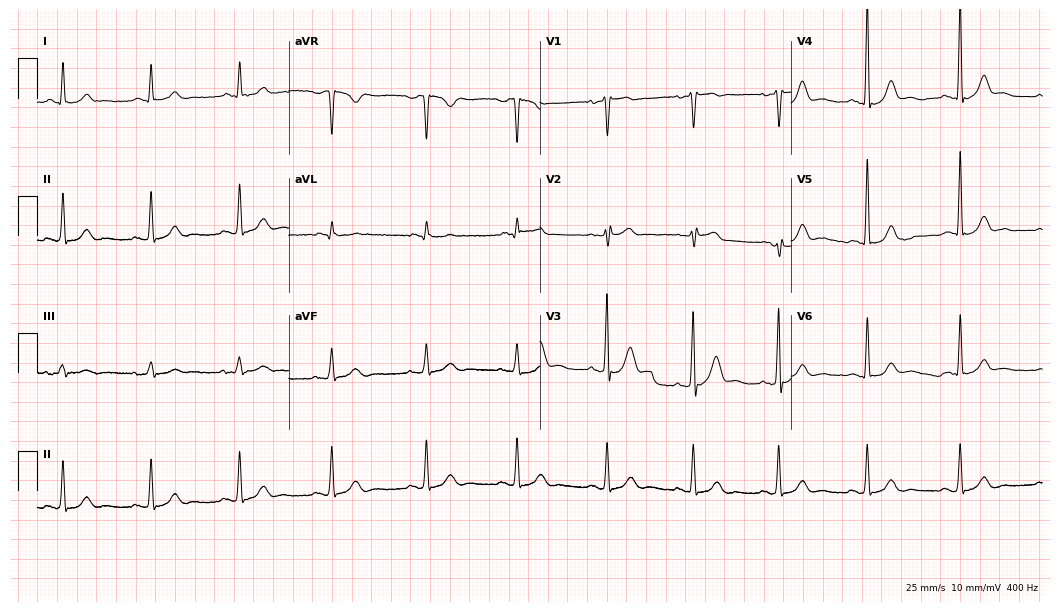
ECG (10.2-second recording at 400 Hz) — a 51-year-old man. Labelled as a normal ECG.